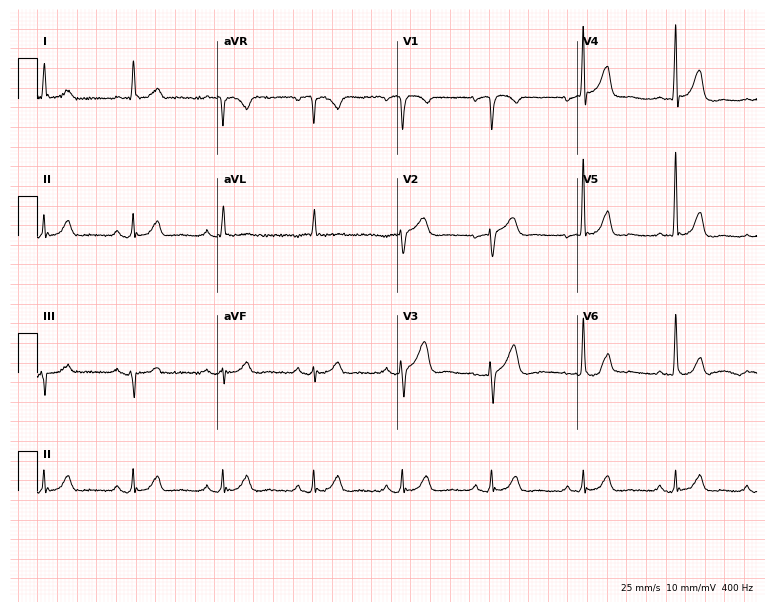
ECG — a man, 73 years old. Labelled as a normal ECG.